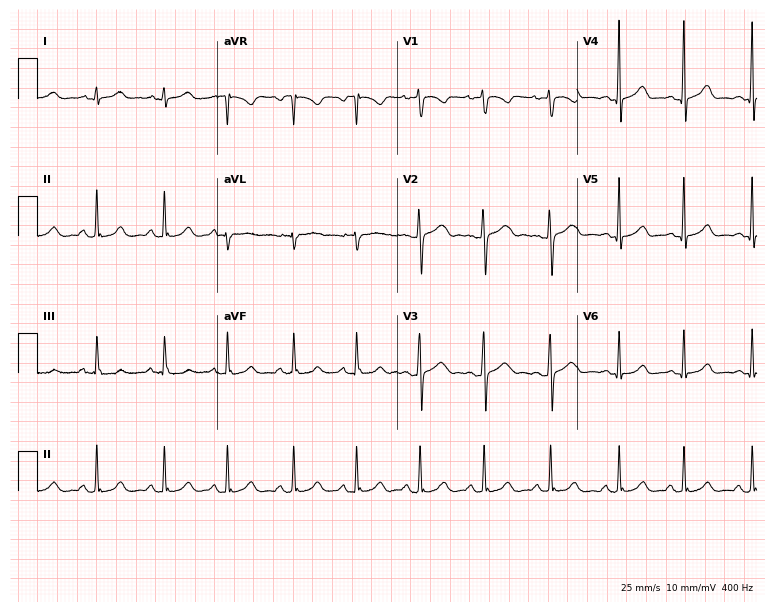
Electrocardiogram, an 18-year-old female. Of the six screened findings (first-degree AV block, right bundle branch block (RBBB), left bundle branch block (LBBB), sinus bradycardia, atrial fibrillation (AF), sinus tachycardia), none is recorded. Only these six findings were labelled.